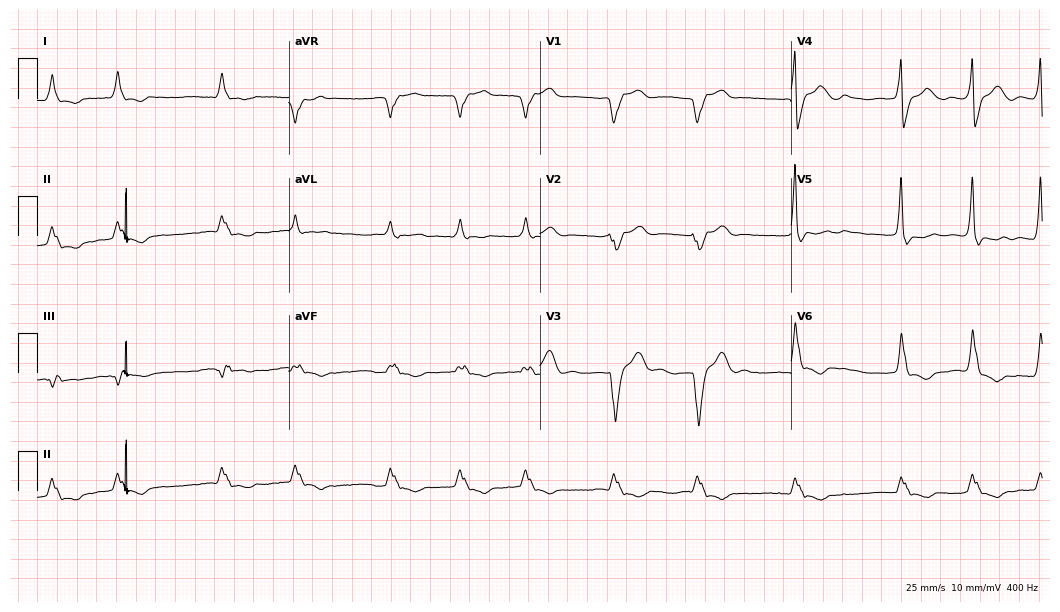
12-lead ECG (10.2-second recording at 400 Hz) from a male, 78 years old. Findings include left bundle branch block, atrial fibrillation.